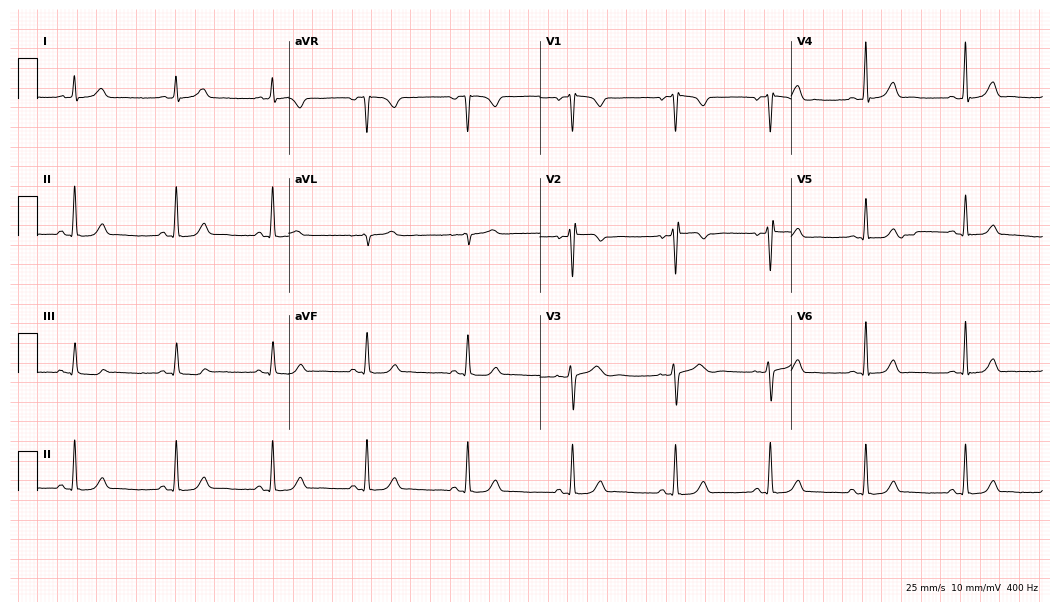
Electrocardiogram, a 36-year-old woman. Of the six screened findings (first-degree AV block, right bundle branch block, left bundle branch block, sinus bradycardia, atrial fibrillation, sinus tachycardia), none is recorded. Findings outside these six are not listed.